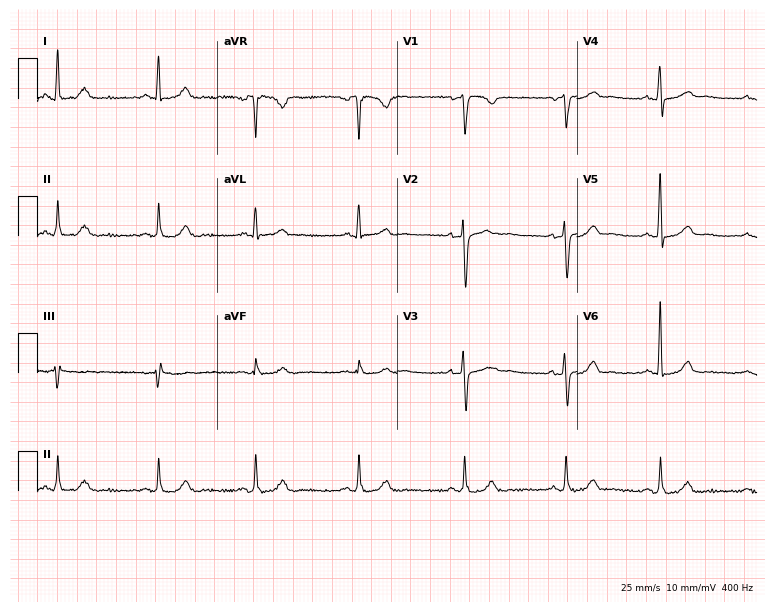
Electrocardiogram, a female patient, 56 years old. Of the six screened findings (first-degree AV block, right bundle branch block, left bundle branch block, sinus bradycardia, atrial fibrillation, sinus tachycardia), none is recorded.